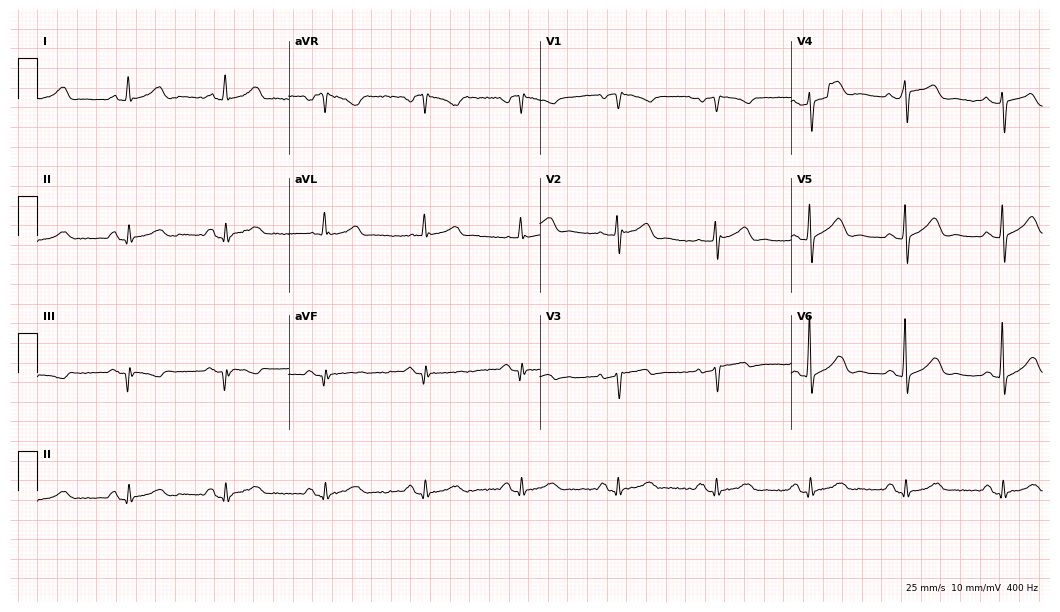
12-lead ECG from a woman, 60 years old. Screened for six findings — first-degree AV block, right bundle branch block, left bundle branch block, sinus bradycardia, atrial fibrillation, sinus tachycardia — none is recorded. Findings outside these six are not listed.